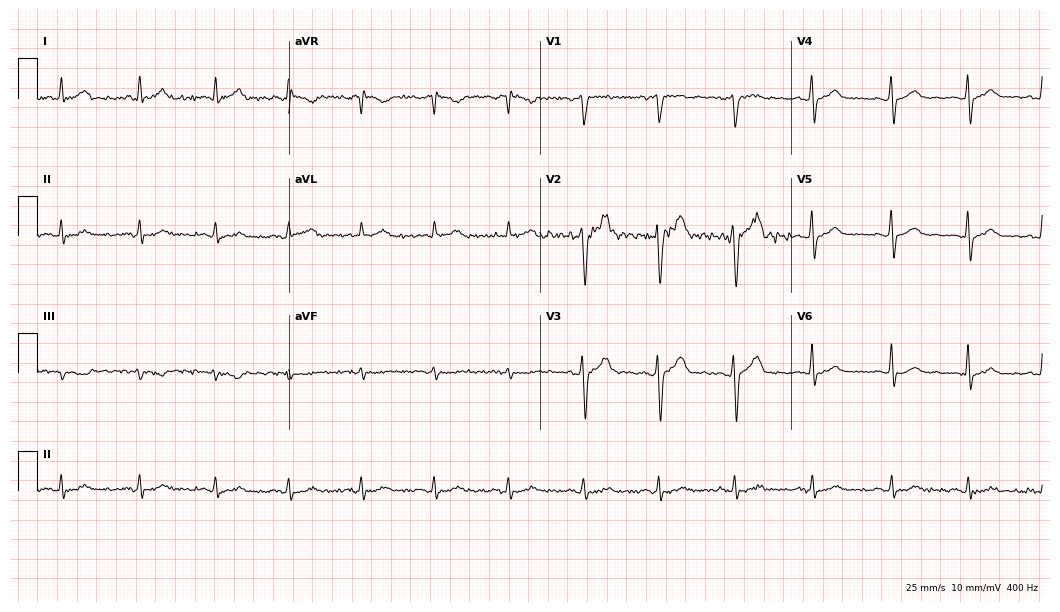
12-lead ECG from a man, 43 years old. No first-degree AV block, right bundle branch block, left bundle branch block, sinus bradycardia, atrial fibrillation or sinus tachycardia recorded for this tracing. Other findings, if any, are not listed.